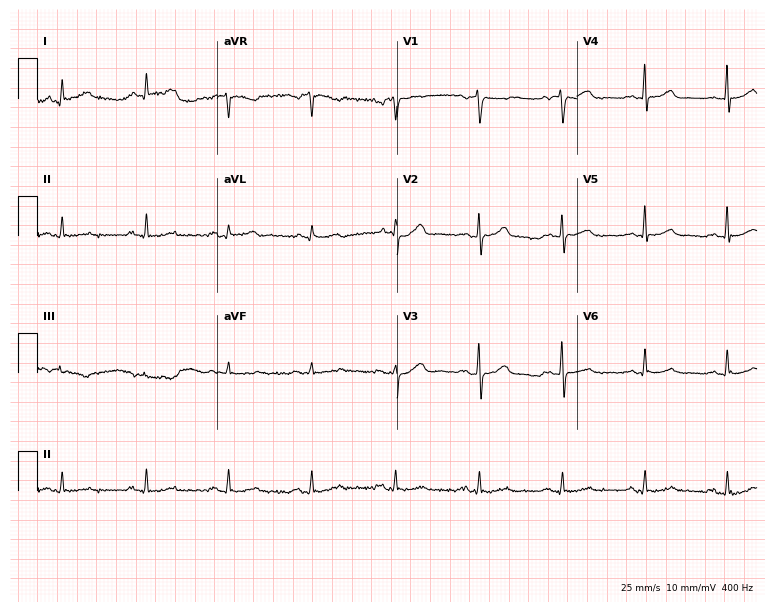
12-lead ECG from a 50-year-old man. Recorded interpretation: within normal limits.